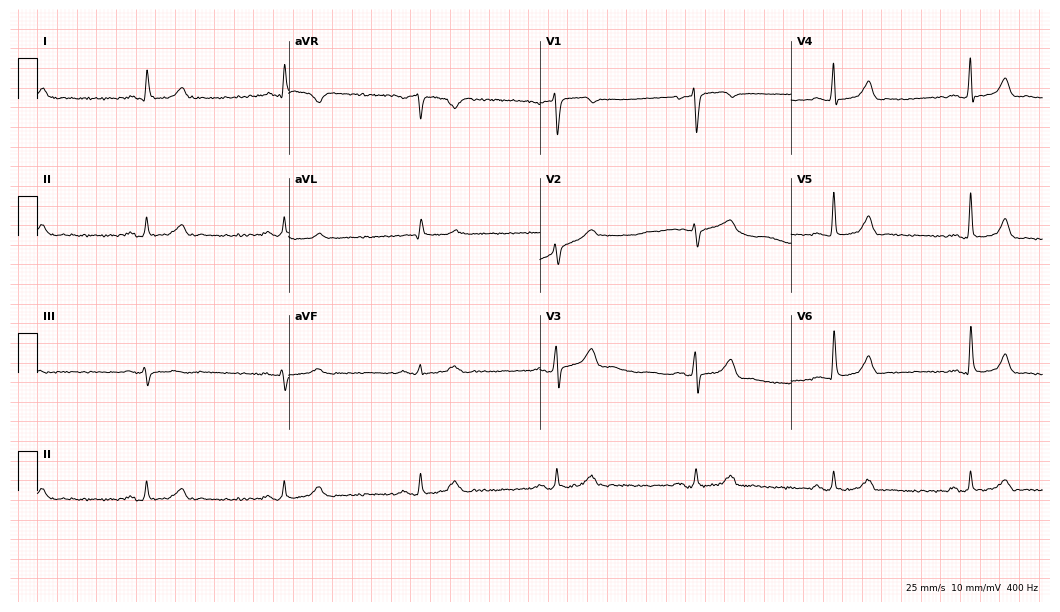
Electrocardiogram, a male patient, 67 years old. Interpretation includes sinus bradycardia (a sinus rate of 50 beats per minute or less).